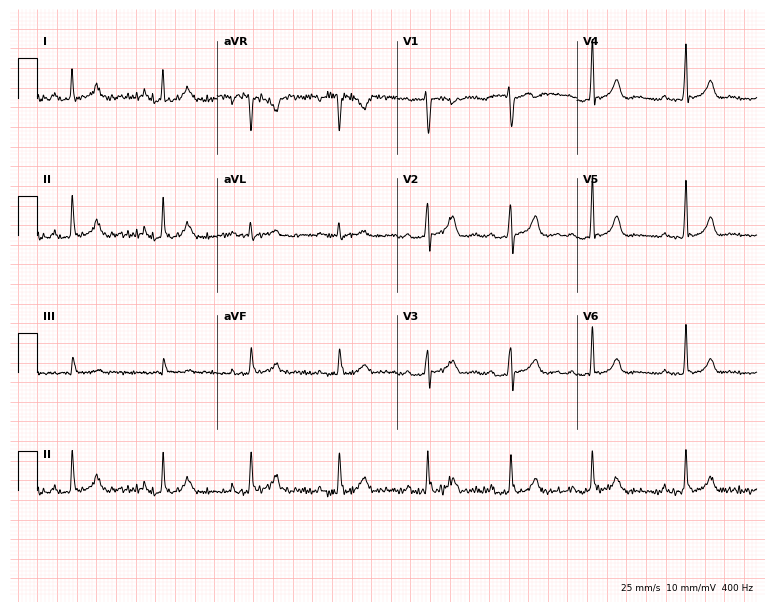
ECG — a 30-year-old woman. Labelled as a normal ECG.